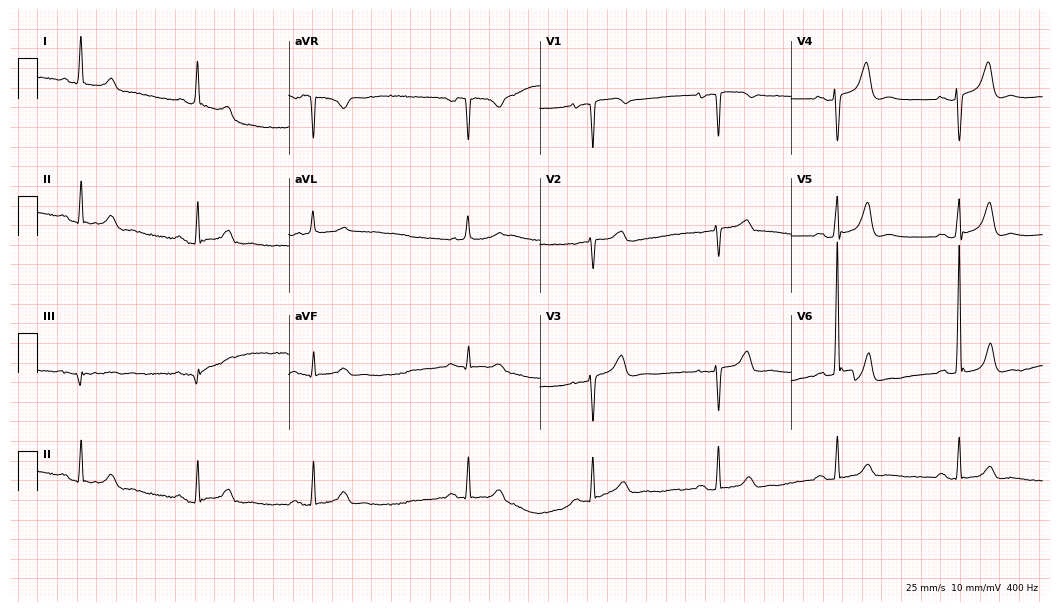
12-lead ECG from an 80-year-old female. Labelled as a normal ECG.